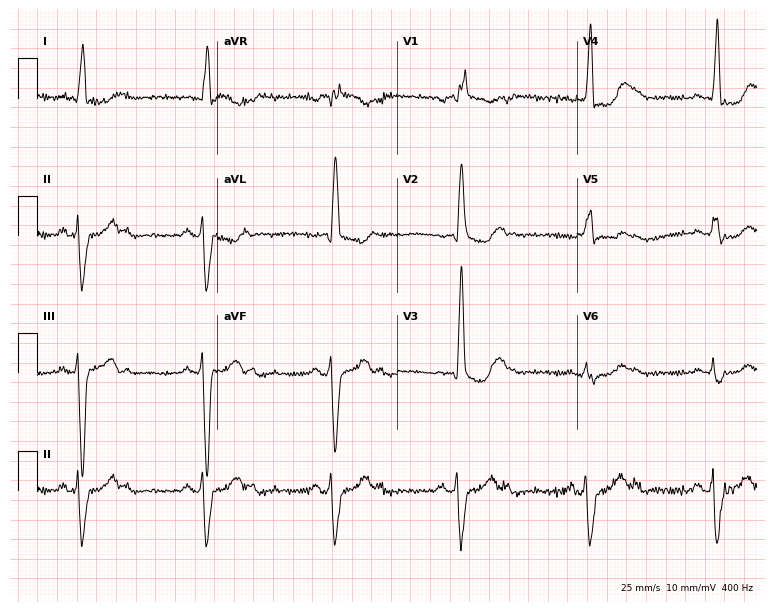
12-lead ECG from a 75-year-old woman. Findings include right bundle branch block, sinus bradycardia (a sinus rate of 50 beats per minute or less).